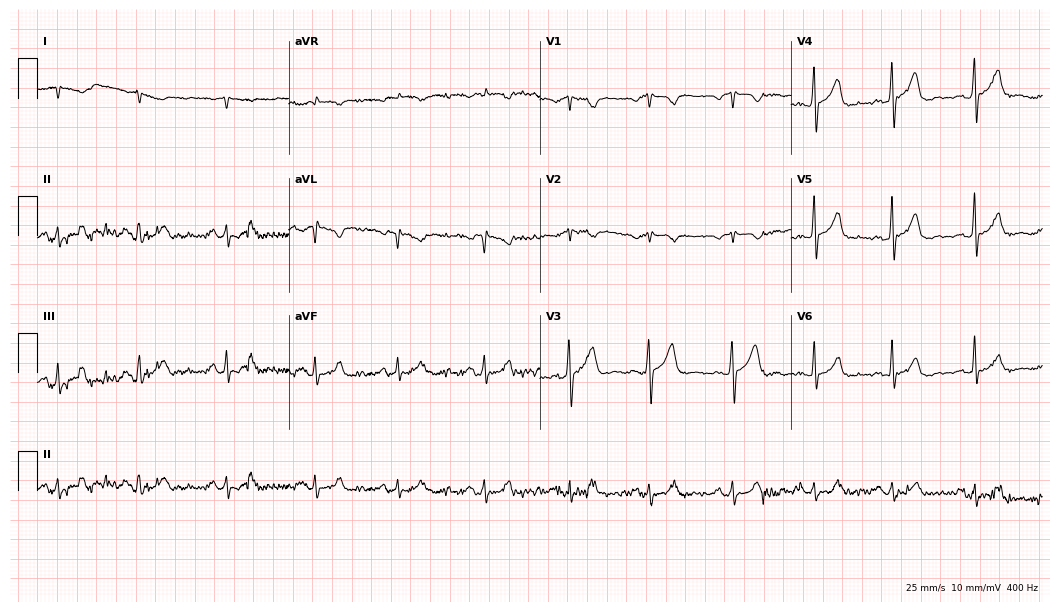
12-lead ECG from a male, 53 years old (10.2-second recording at 400 Hz). No first-degree AV block, right bundle branch block, left bundle branch block, sinus bradycardia, atrial fibrillation or sinus tachycardia recorded for this tracing.